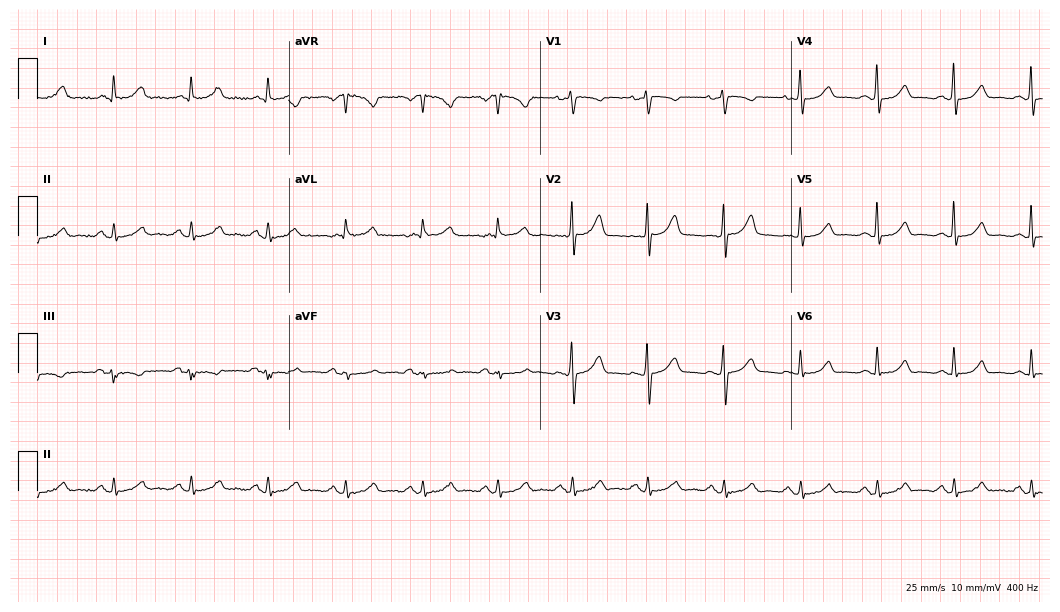
12-lead ECG from a female, 55 years old. Recorded interpretation: within normal limits.